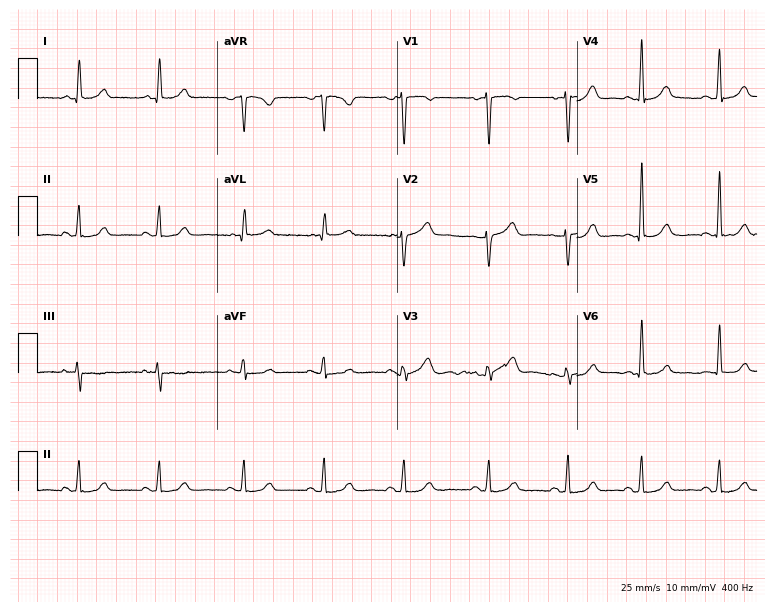
ECG (7.3-second recording at 400 Hz) — a female patient, 56 years old. Labelled as a normal ECG.